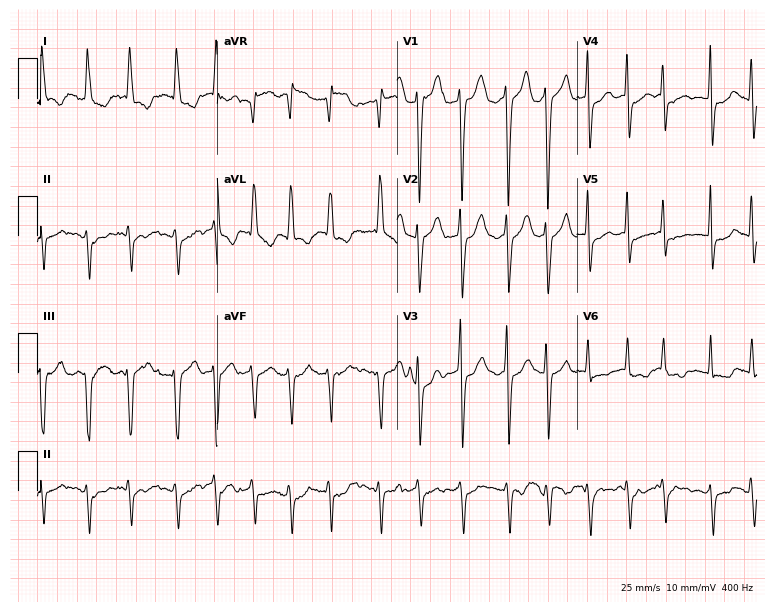
Electrocardiogram (7.3-second recording at 400 Hz), a 47-year-old female patient. Interpretation includes sinus tachycardia (a sinus rate of 100 beats per minute or more).